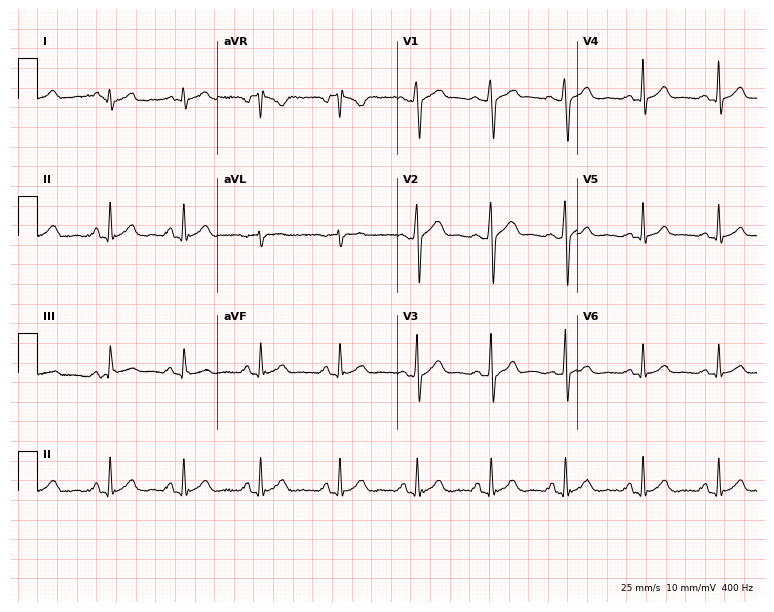
Electrocardiogram, a male, 24 years old. Of the six screened findings (first-degree AV block, right bundle branch block, left bundle branch block, sinus bradycardia, atrial fibrillation, sinus tachycardia), none is recorded. Other findings, if any, are not listed.